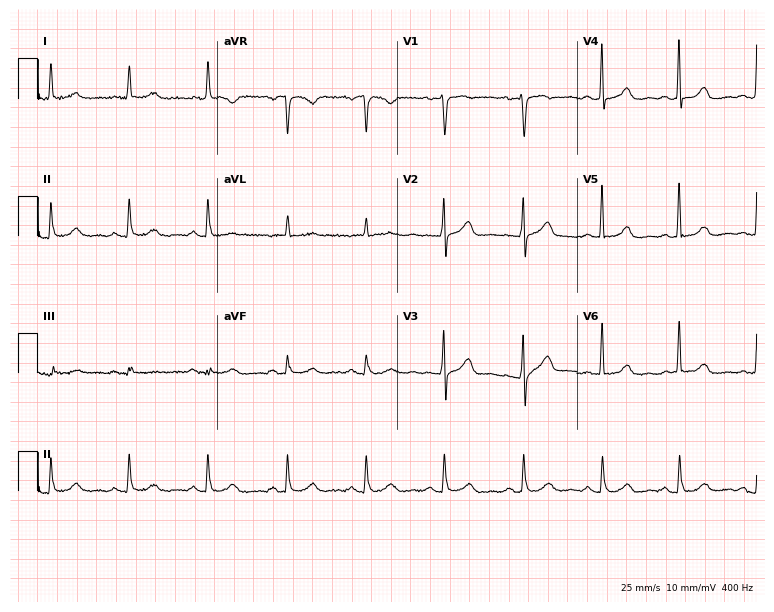
Standard 12-lead ECG recorded from a woman, 66 years old (7.3-second recording at 400 Hz). Read as a normal ECG.